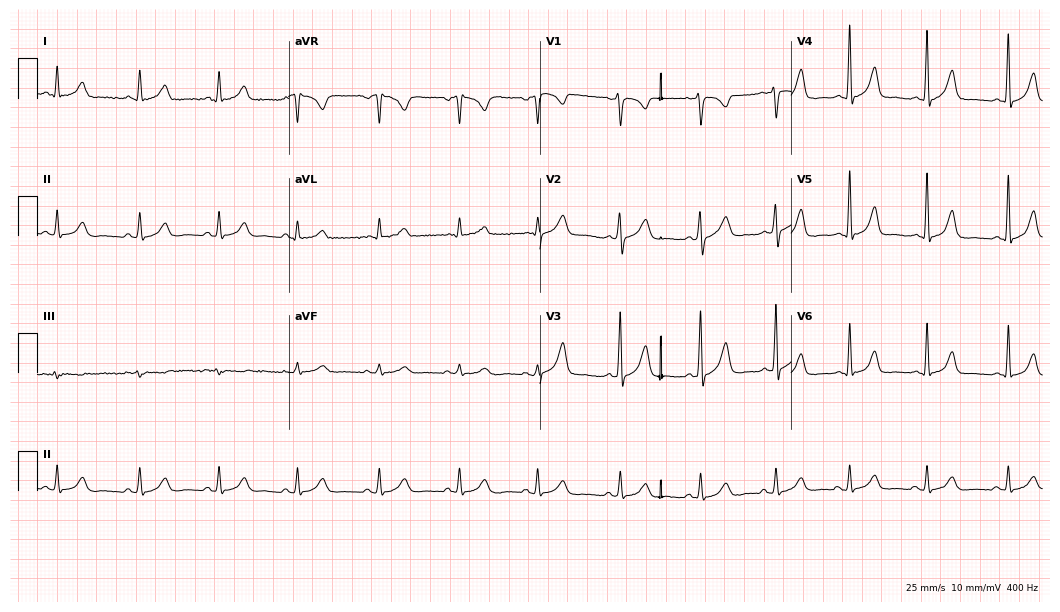
12-lead ECG from a woman, 45 years old. Recorded interpretation: within normal limits.